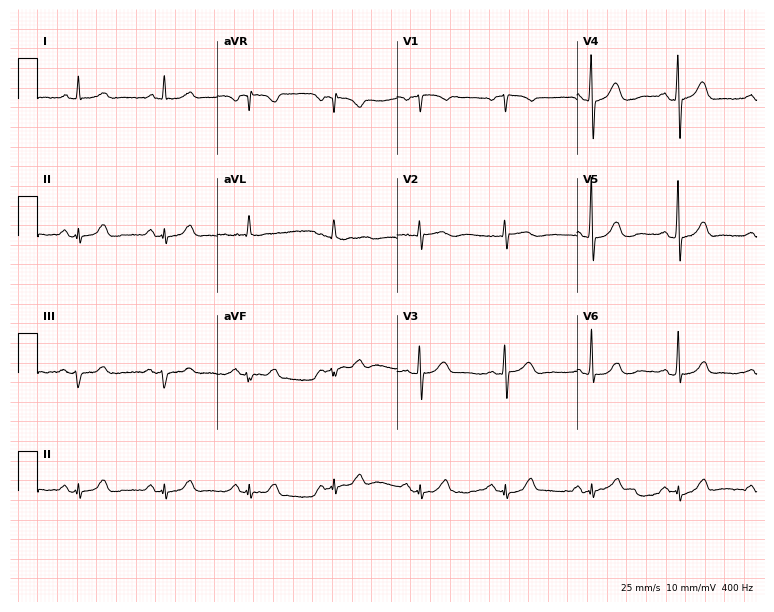
Electrocardiogram (7.3-second recording at 400 Hz), a male patient, 57 years old. Overall reading on record: normal ECG.